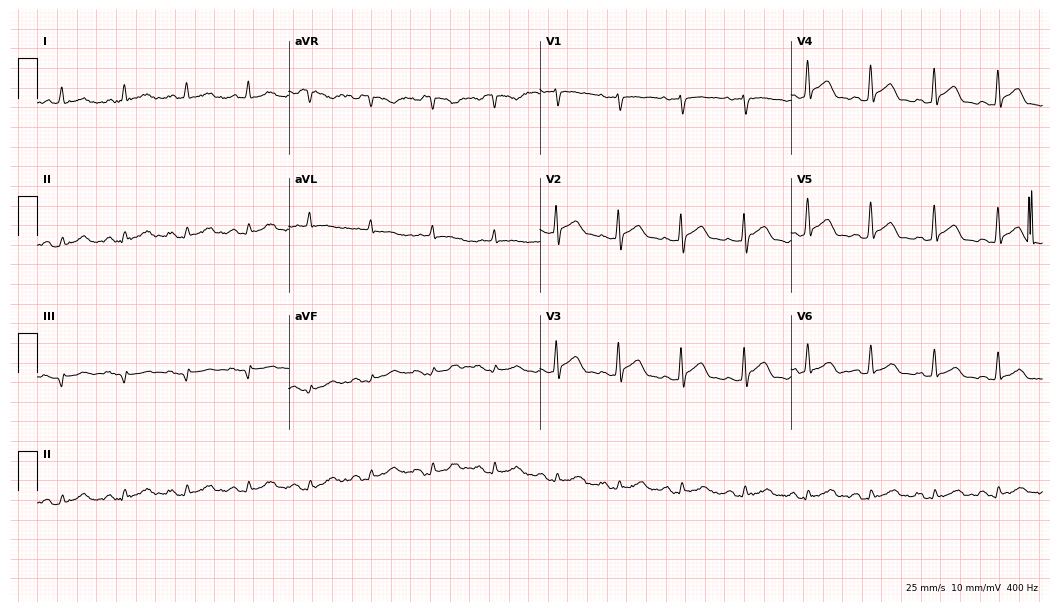
Standard 12-lead ECG recorded from a man, 79 years old. Read as a normal ECG.